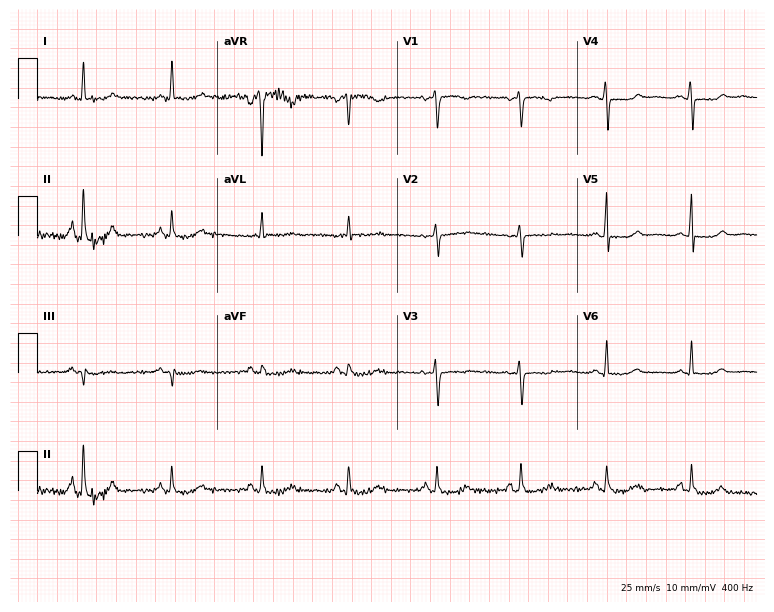
12-lead ECG from a woman, 54 years old. No first-degree AV block, right bundle branch block, left bundle branch block, sinus bradycardia, atrial fibrillation or sinus tachycardia recorded for this tracing.